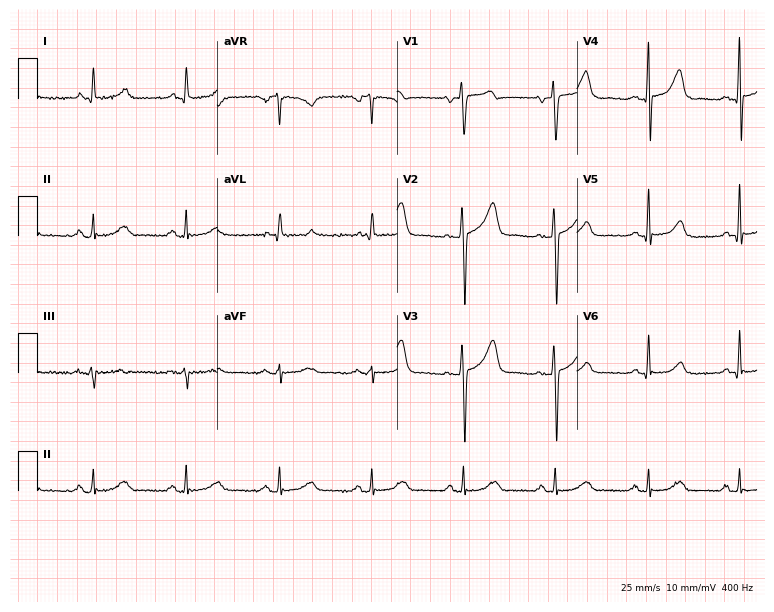
Resting 12-lead electrocardiogram (7.3-second recording at 400 Hz). Patient: a female, 66 years old. None of these six findings is recorded: first-degree AV block, right bundle branch block, left bundle branch block, sinus bradycardia, atrial fibrillation, sinus tachycardia.